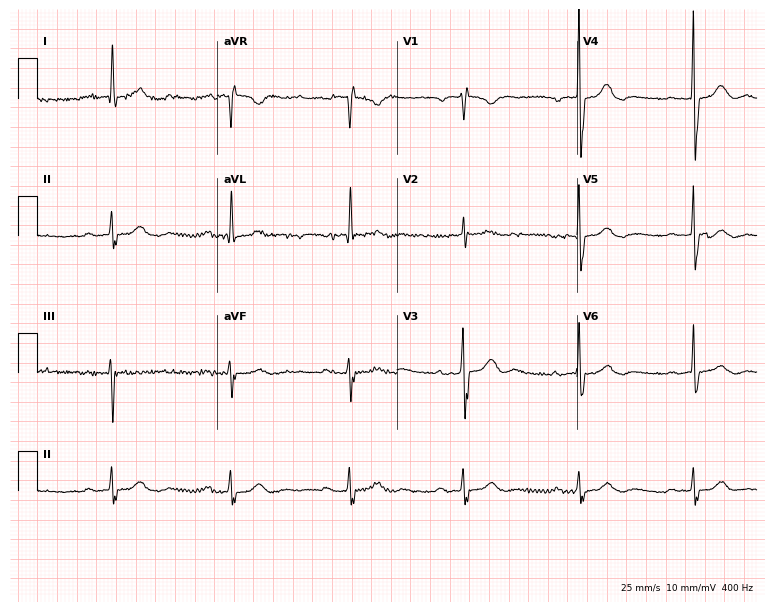
Resting 12-lead electrocardiogram (7.3-second recording at 400 Hz). Patient: an 81-year-old male. The tracing shows first-degree AV block, sinus bradycardia (a sinus rate of 50 beats per minute or less).